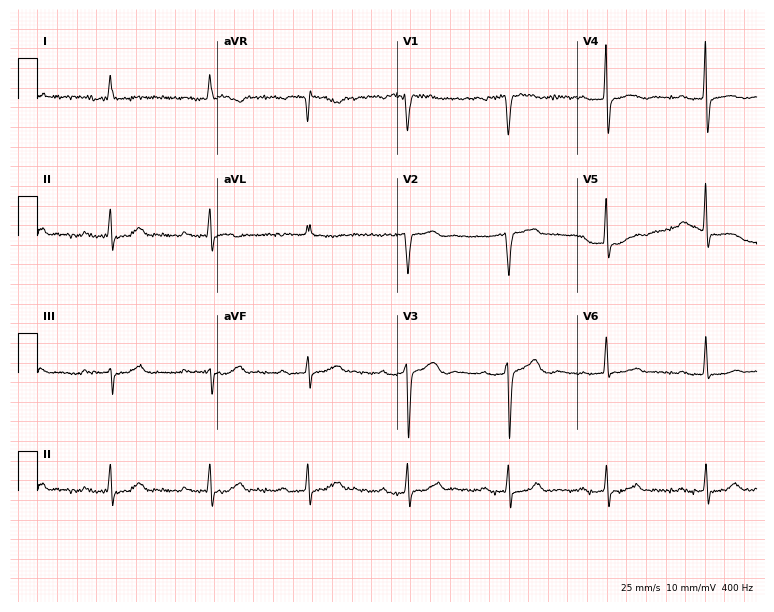
12-lead ECG (7.3-second recording at 400 Hz) from a female, 74 years old. Findings include first-degree AV block.